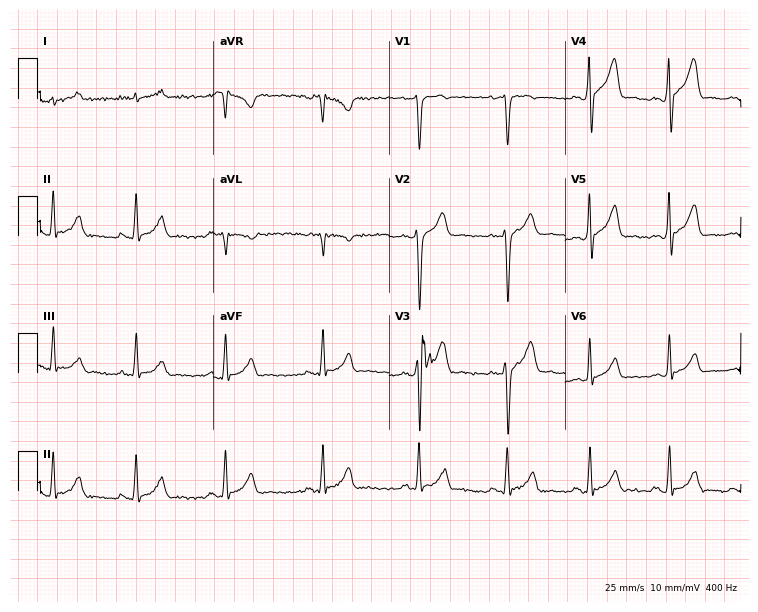
Resting 12-lead electrocardiogram. Patient: a 29-year-old male. None of these six findings is recorded: first-degree AV block, right bundle branch block, left bundle branch block, sinus bradycardia, atrial fibrillation, sinus tachycardia.